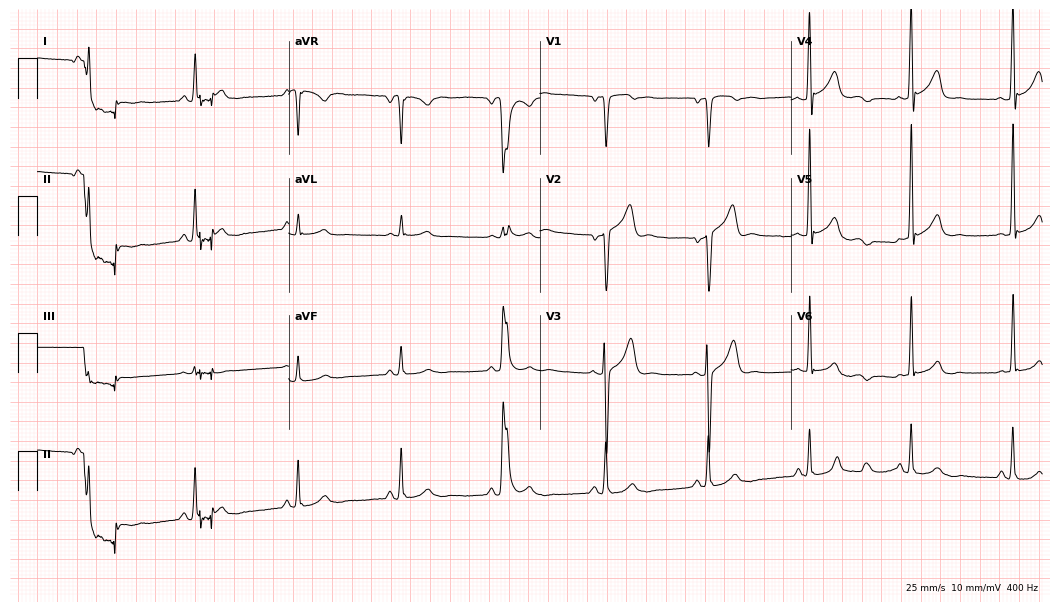
12-lead ECG (10.2-second recording at 400 Hz) from a 52-year-old man. Screened for six findings — first-degree AV block, right bundle branch block (RBBB), left bundle branch block (LBBB), sinus bradycardia, atrial fibrillation (AF), sinus tachycardia — none is recorded. Findings outside these six are not listed.